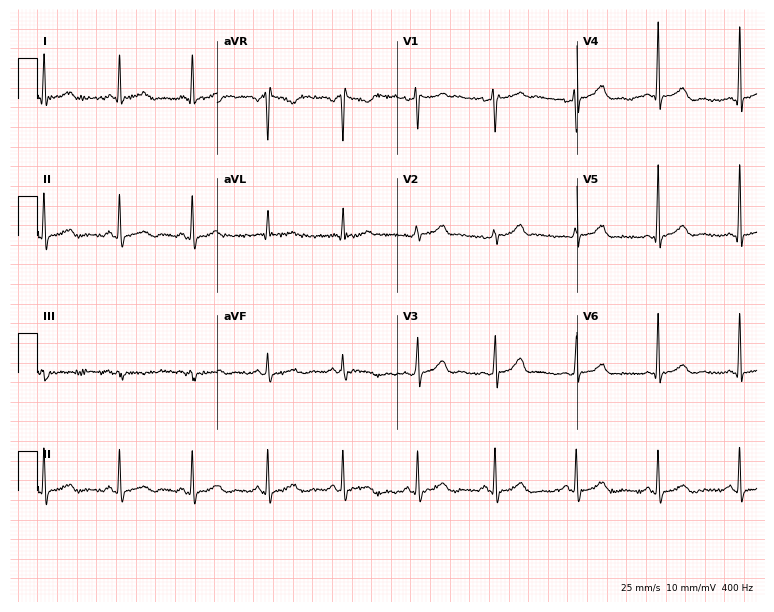
Electrocardiogram, a 49-year-old female. Of the six screened findings (first-degree AV block, right bundle branch block, left bundle branch block, sinus bradycardia, atrial fibrillation, sinus tachycardia), none is recorded.